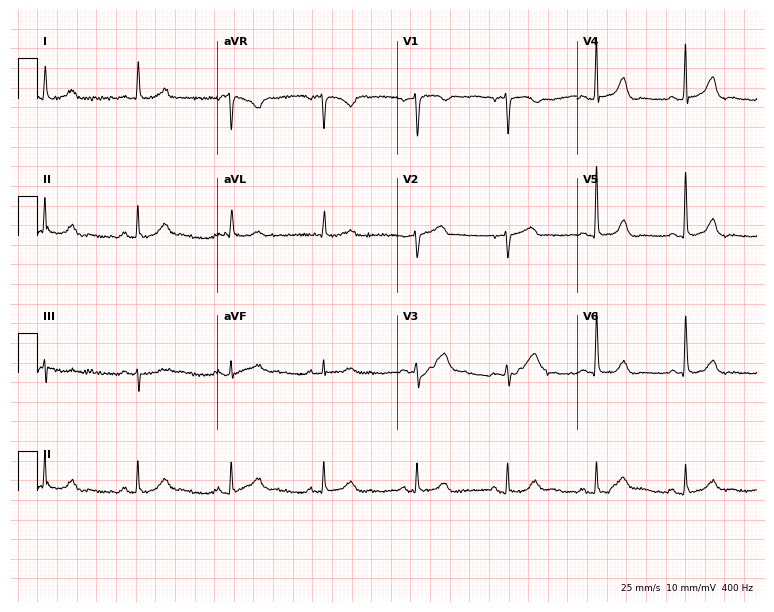
ECG — a 67-year-old male. Labelled as a normal ECG.